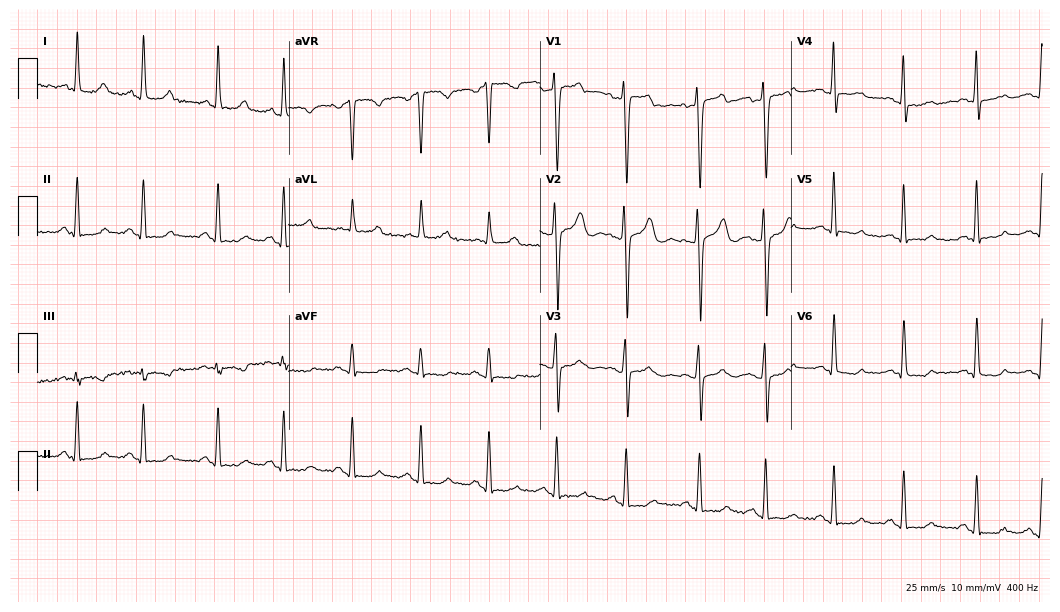
Standard 12-lead ECG recorded from a 41-year-old female patient (10.2-second recording at 400 Hz). None of these six findings is recorded: first-degree AV block, right bundle branch block, left bundle branch block, sinus bradycardia, atrial fibrillation, sinus tachycardia.